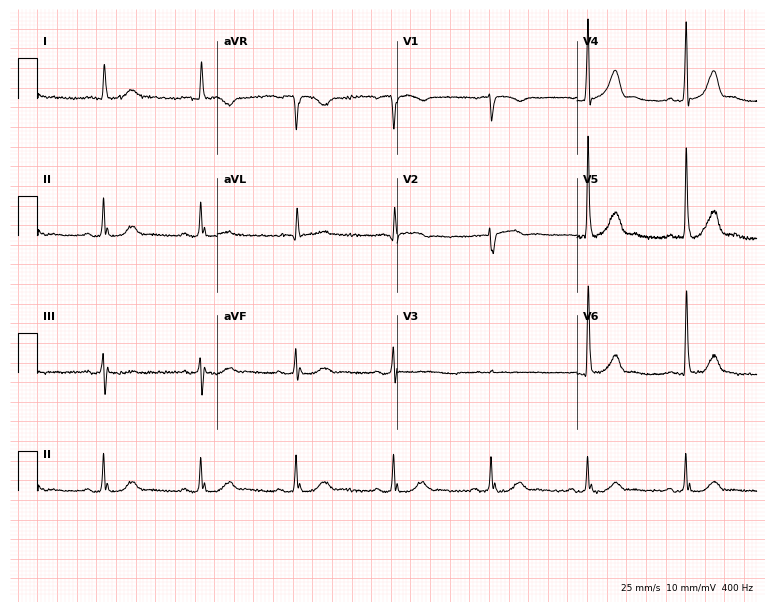
12-lead ECG from a 76-year-old man. Labelled as a normal ECG.